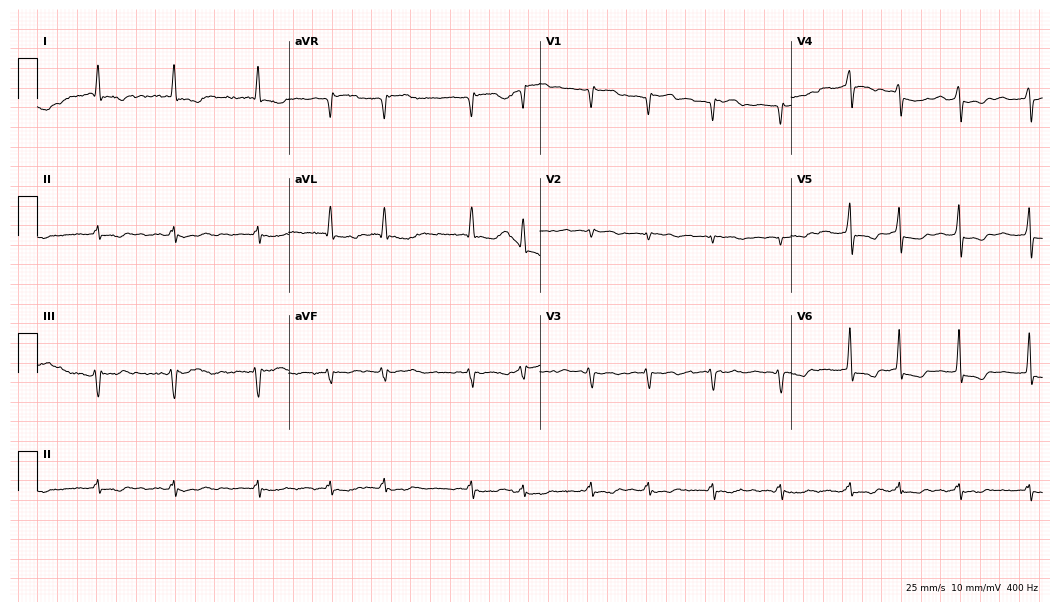
Electrocardiogram, a female, 56 years old. Interpretation includes atrial fibrillation.